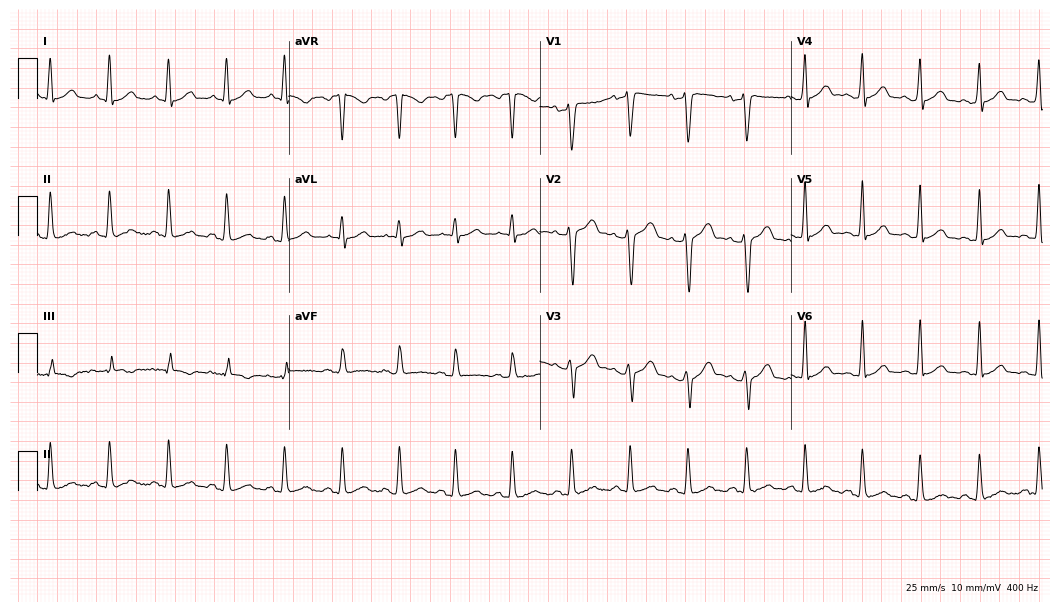
Resting 12-lead electrocardiogram. Patient: a 25-year-old male. None of these six findings is recorded: first-degree AV block, right bundle branch block (RBBB), left bundle branch block (LBBB), sinus bradycardia, atrial fibrillation (AF), sinus tachycardia.